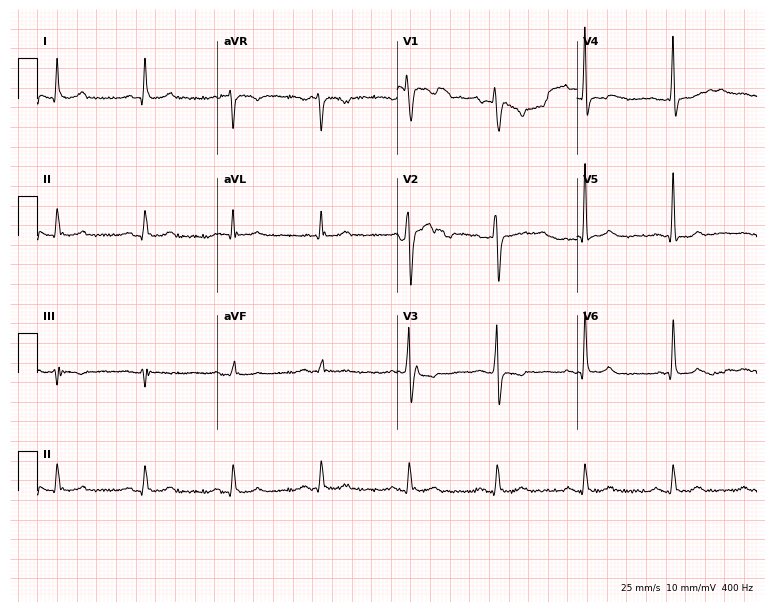
Standard 12-lead ECG recorded from a 52-year-old male. None of these six findings is recorded: first-degree AV block, right bundle branch block, left bundle branch block, sinus bradycardia, atrial fibrillation, sinus tachycardia.